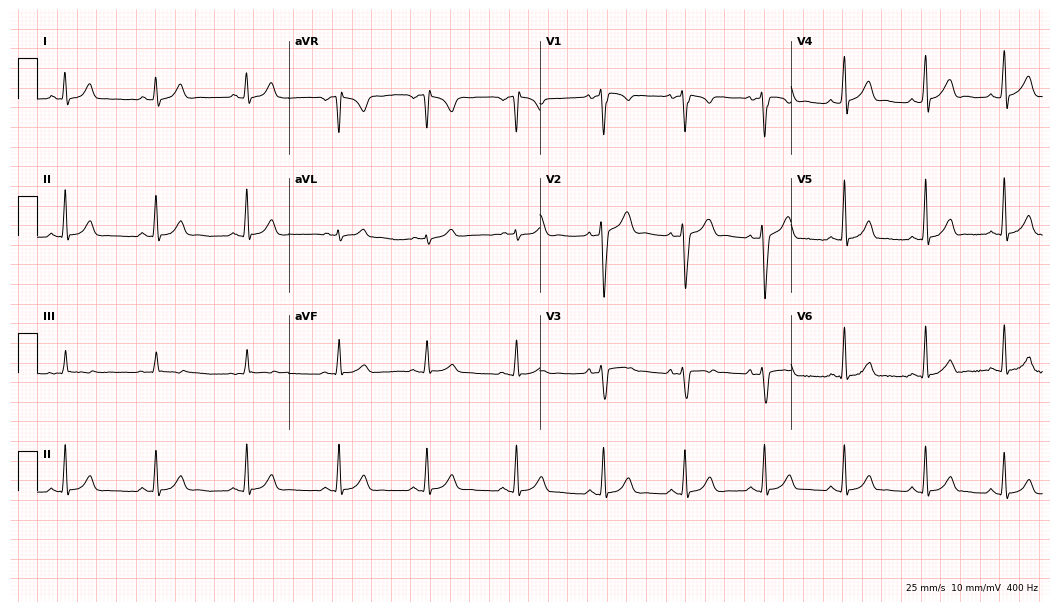
Resting 12-lead electrocardiogram (10.2-second recording at 400 Hz). Patient: a man, 19 years old. Read as a normal ECG.